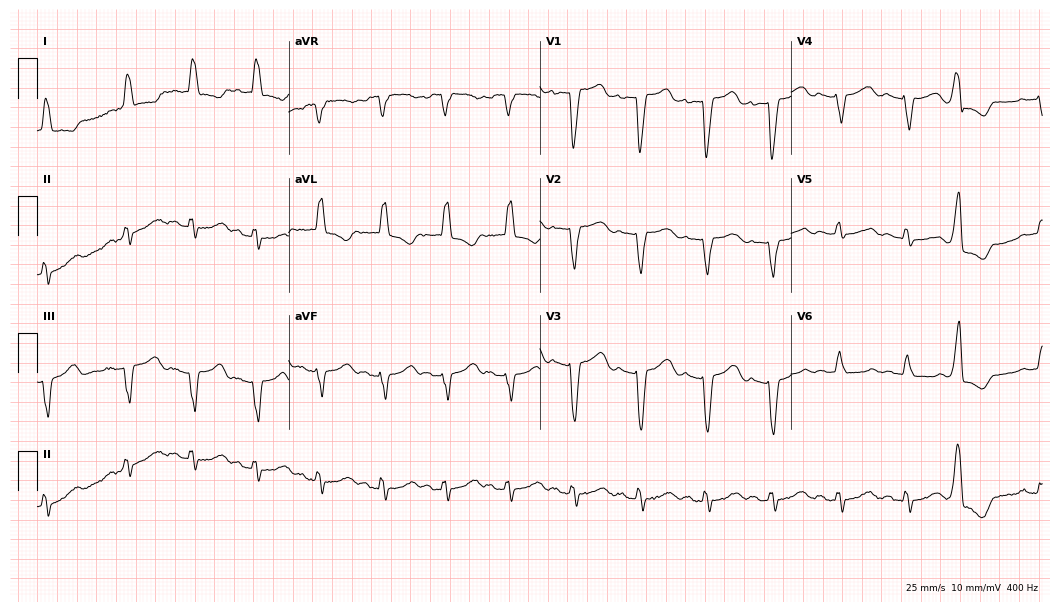
ECG — a 76-year-old woman. Screened for six findings — first-degree AV block, right bundle branch block (RBBB), left bundle branch block (LBBB), sinus bradycardia, atrial fibrillation (AF), sinus tachycardia — none is recorded.